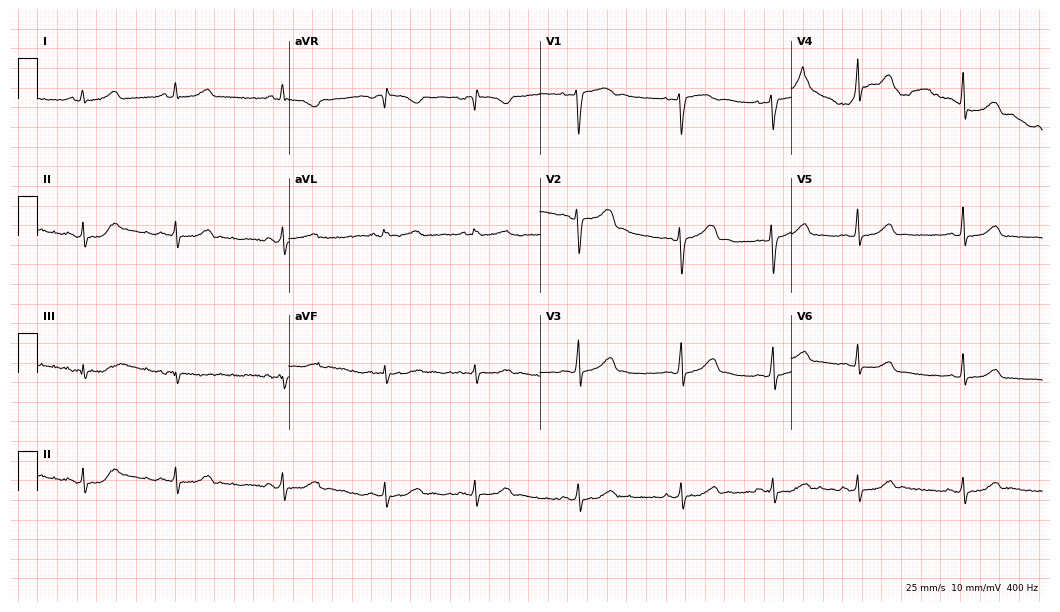
12-lead ECG (10.2-second recording at 400 Hz) from an 18-year-old female patient. Labelled as a normal ECG.